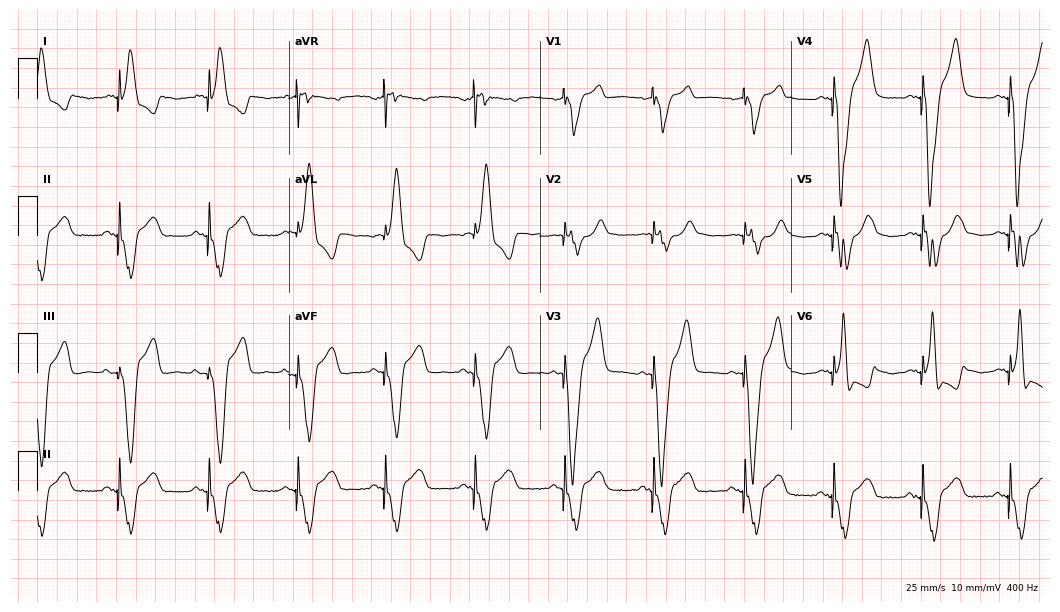
Electrocardiogram, an 80-year-old female. Of the six screened findings (first-degree AV block, right bundle branch block, left bundle branch block, sinus bradycardia, atrial fibrillation, sinus tachycardia), none is recorded. Only these six findings were labelled.